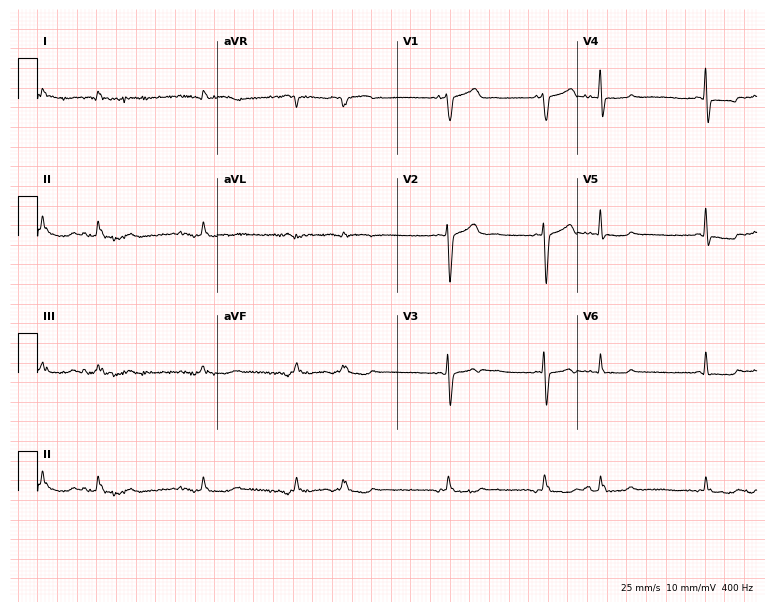
ECG — a man, 81 years old. Screened for six findings — first-degree AV block, right bundle branch block (RBBB), left bundle branch block (LBBB), sinus bradycardia, atrial fibrillation (AF), sinus tachycardia — none is recorded. Only these six findings were labelled.